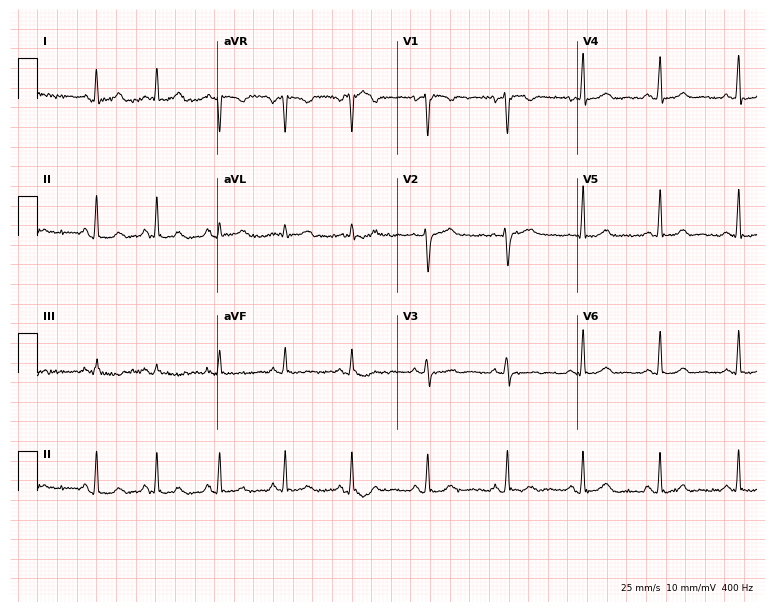
Electrocardiogram (7.3-second recording at 400 Hz), a 34-year-old female patient. Overall reading on record: normal ECG.